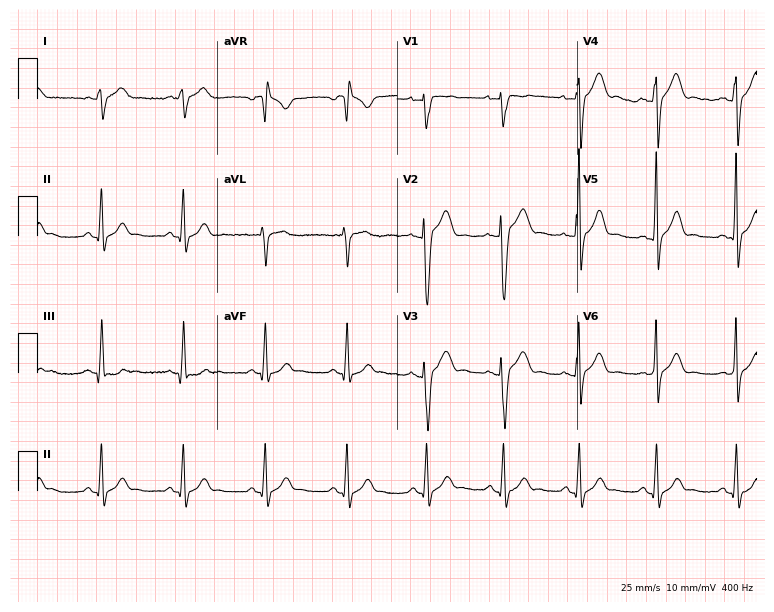
Electrocardiogram (7.3-second recording at 400 Hz), a man, 29 years old. Overall reading on record: normal ECG.